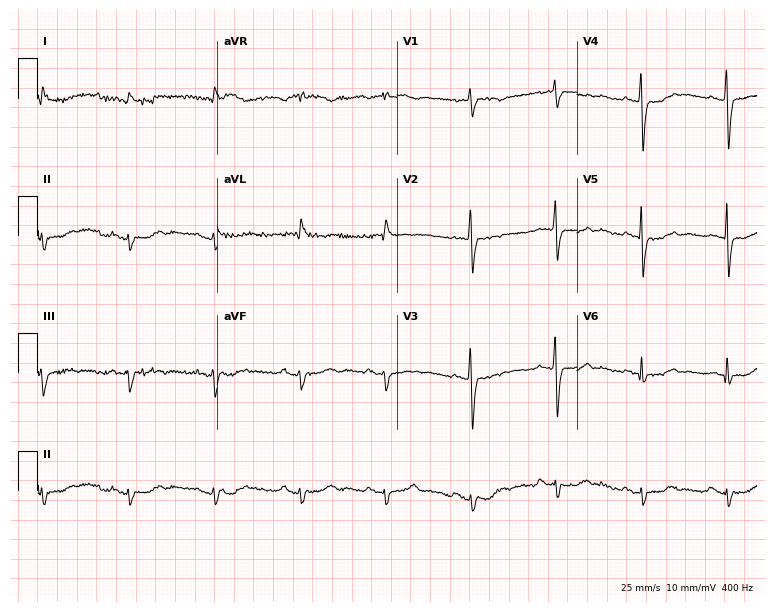
Resting 12-lead electrocardiogram. Patient: an 82-year-old woman. None of these six findings is recorded: first-degree AV block, right bundle branch block (RBBB), left bundle branch block (LBBB), sinus bradycardia, atrial fibrillation (AF), sinus tachycardia.